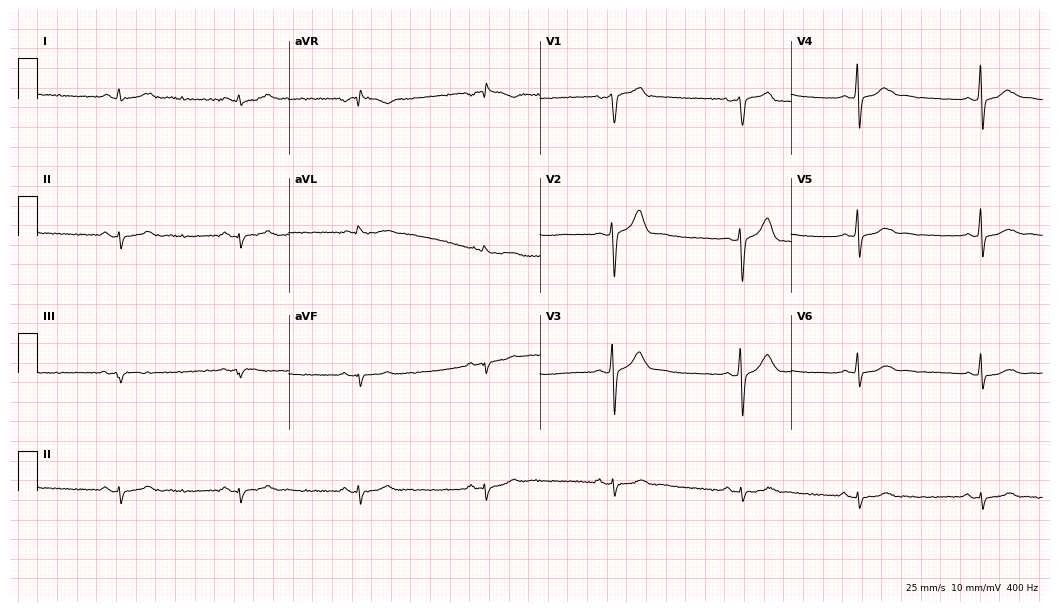
Standard 12-lead ECG recorded from a 37-year-old male (10.2-second recording at 400 Hz). The tracing shows sinus bradycardia (a sinus rate of 50 beats per minute or less).